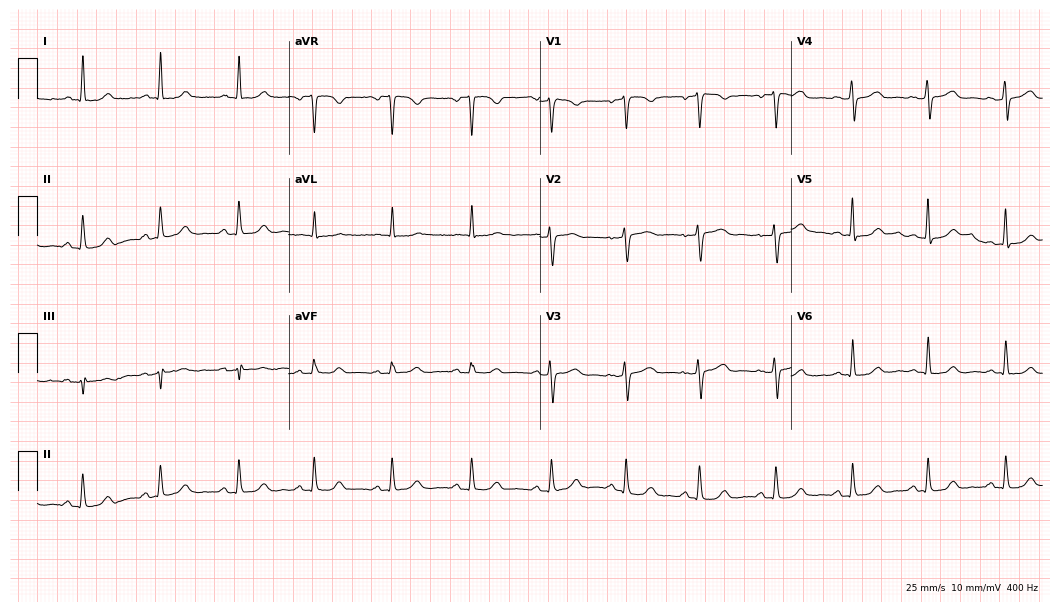
12-lead ECG from a female, 59 years old. Recorded interpretation: within normal limits.